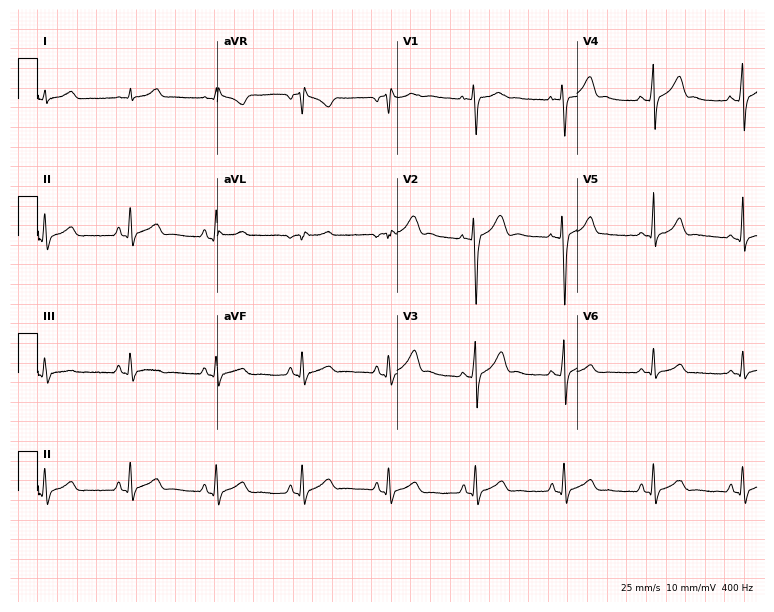
ECG — a 20-year-old male patient. Labelled as a normal ECG.